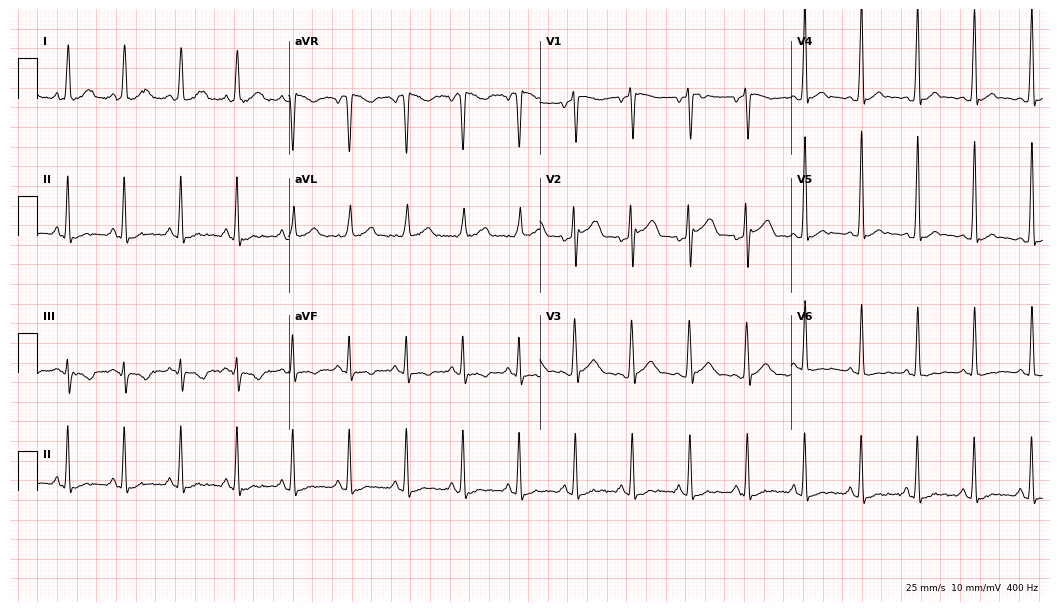
Resting 12-lead electrocardiogram. Patient: a woman, 23 years old. The tracing shows sinus tachycardia (a sinus rate of 100 beats per minute or more).